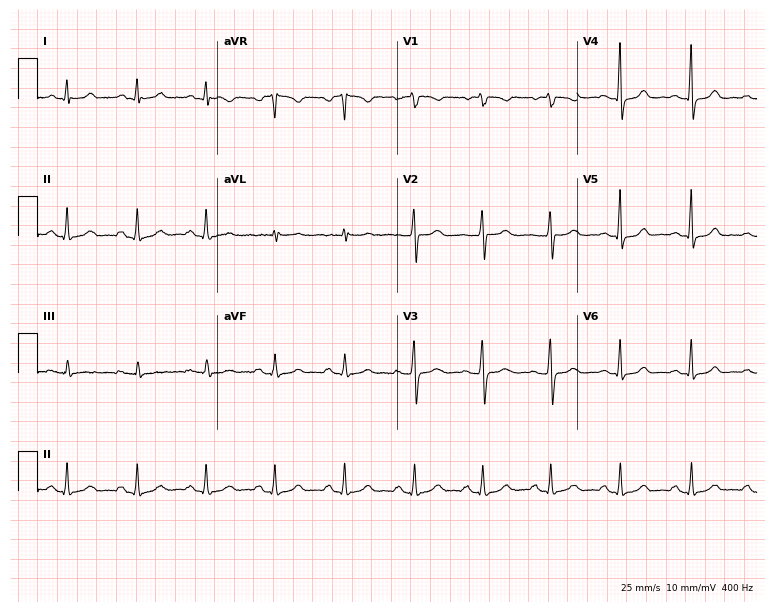
Electrocardiogram, a female, 48 years old. Of the six screened findings (first-degree AV block, right bundle branch block, left bundle branch block, sinus bradycardia, atrial fibrillation, sinus tachycardia), none is recorded.